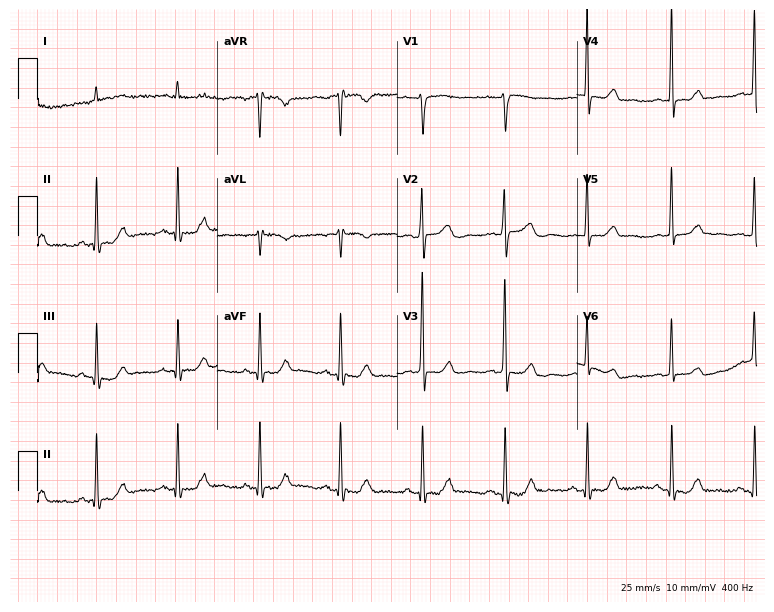
12-lead ECG (7.3-second recording at 400 Hz) from a female, 67 years old. Screened for six findings — first-degree AV block, right bundle branch block (RBBB), left bundle branch block (LBBB), sinus bradycardia, atrial fibrillation (AF), sinus tachycardia — none is recorded. Findings outside these six are not listed.